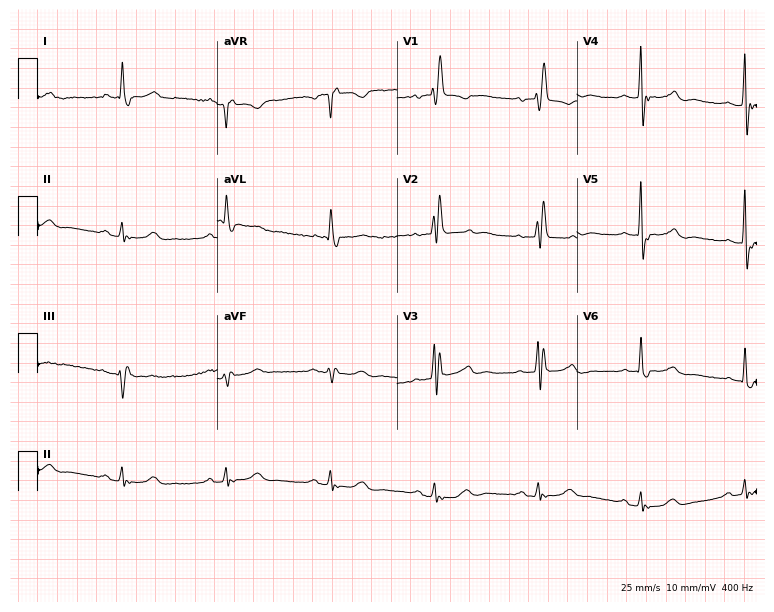
Electrocardiogram (7.3-second recording at 400 Hz), a 76-year-old female patient. Interpretation includes right bundle branch block.